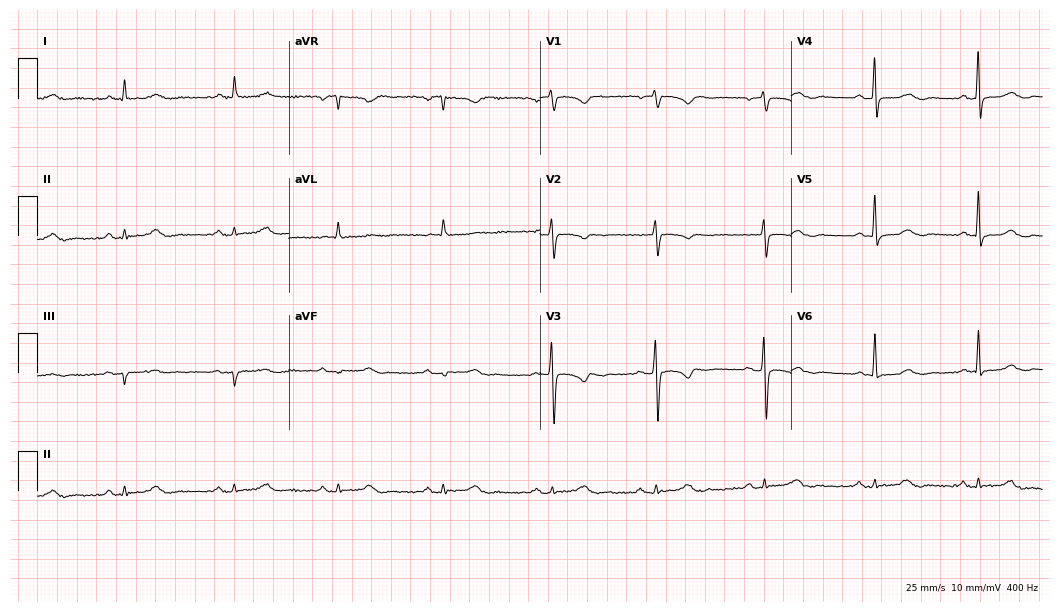
12-lead ECG from a 58-year-old female patient. No first-degree AV block, right bundle branch block, left bundle branch block, sinus bradycardia, atrial fibrillation or sinus tachycardia recorded for this tracing.